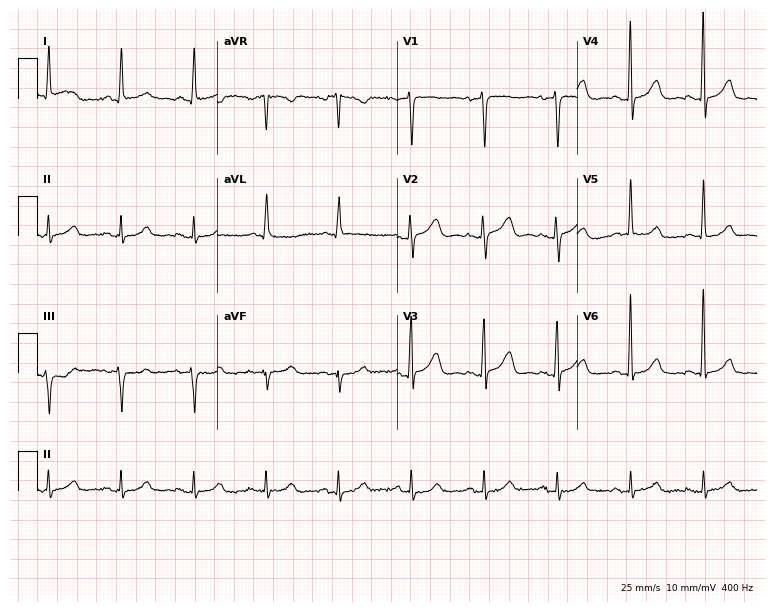
12-lead ECG (7.3-second recording at 400 Hz) from a 68-year-old female patient. Labelled as a normal ECG.